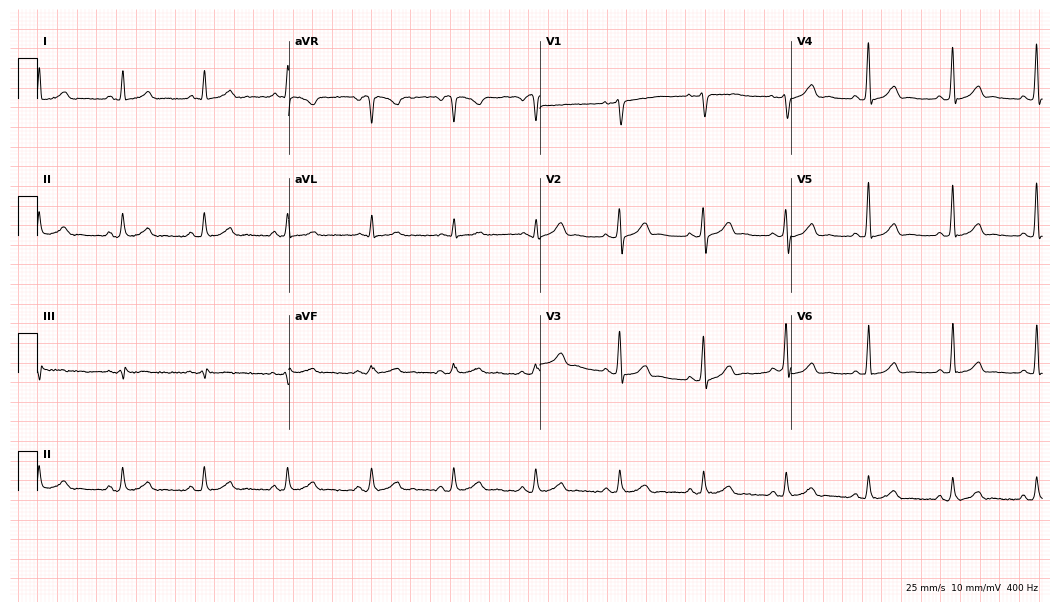
Resting 12-lead electrocardiogram. Patient: a 52-year-old man. Read as a normal ECG.